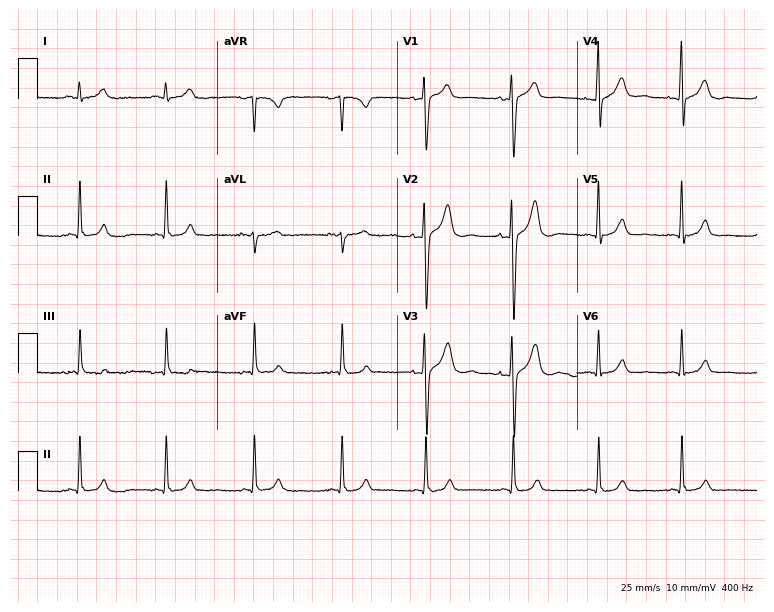
Electrocardiogram, a 34-year-old male patient. Overall reading on record: normal ECG.